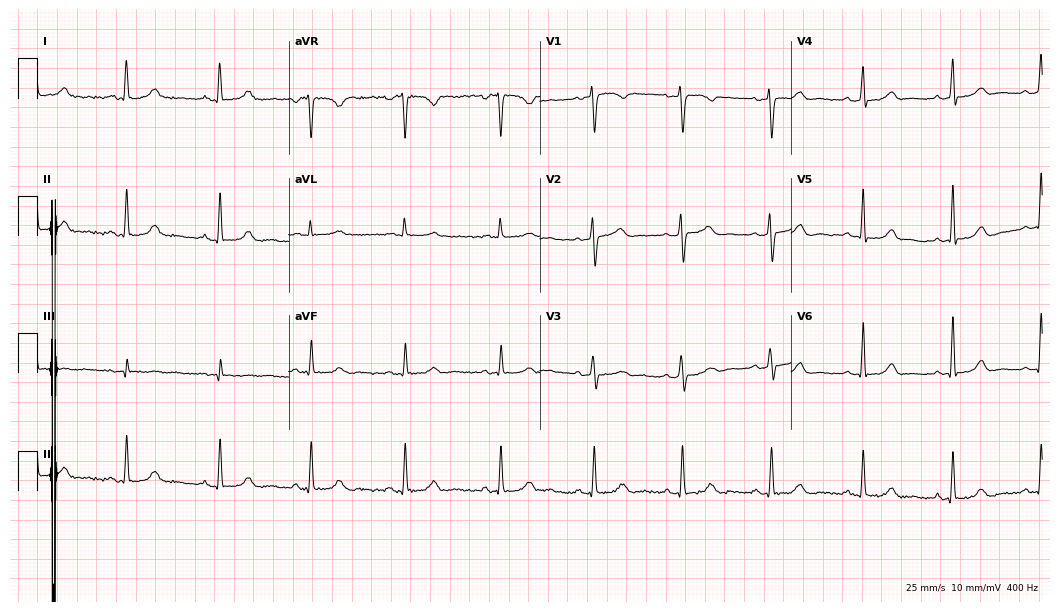
Electrocardiogram, a woman, 49 years old. Overall reading on record: normal ECG.